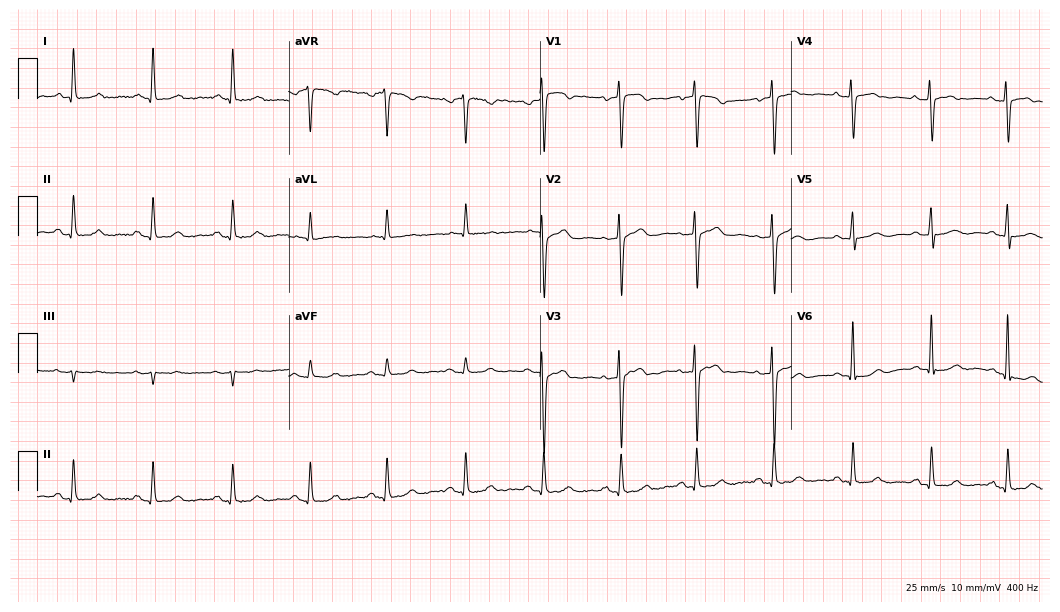
12-lead ECG from a 64-year-old female. Labelled as a normal ECG.